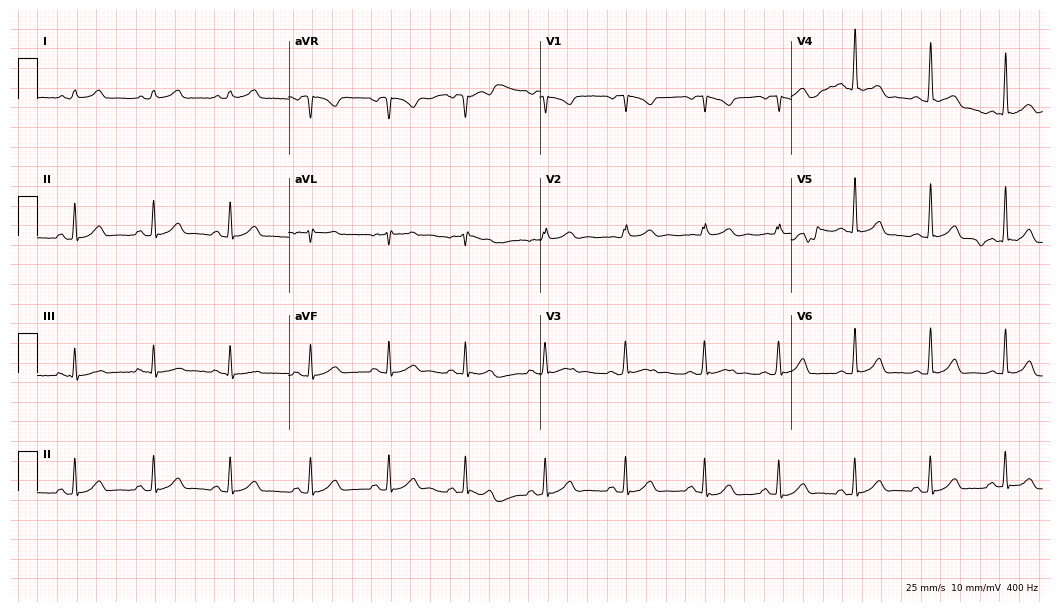
12-lead ECG from a female, 28 years old. Labelled as a normal ECG.